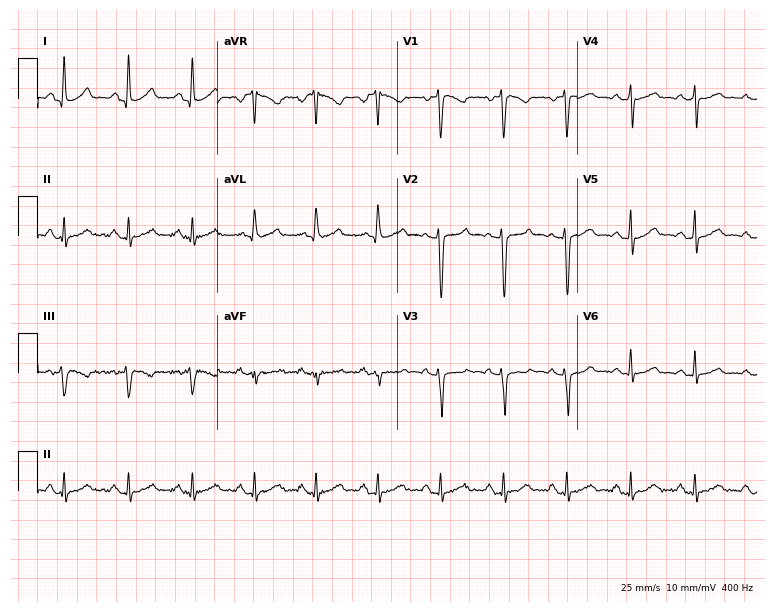
12-lead ECG from a woman, 38 years old. Recorded interpretation: within normal limits.